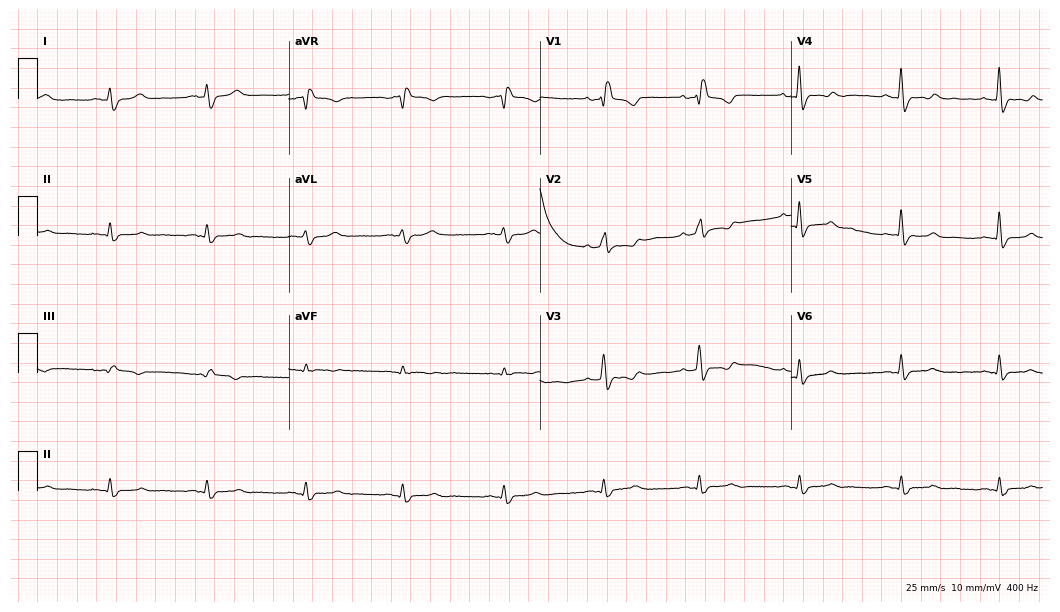
ECG (10.2-second recording at 400 Hz) — a female patient, 49 years old. Screened for six findings — first-degree AV block, right bundle branch block (RBBB), left bundle branch block (LBBB), sinus bradycardia, atrial fibrillation (AF), sinus tachycardia — none is recorded. Findings outside these six are not listed.